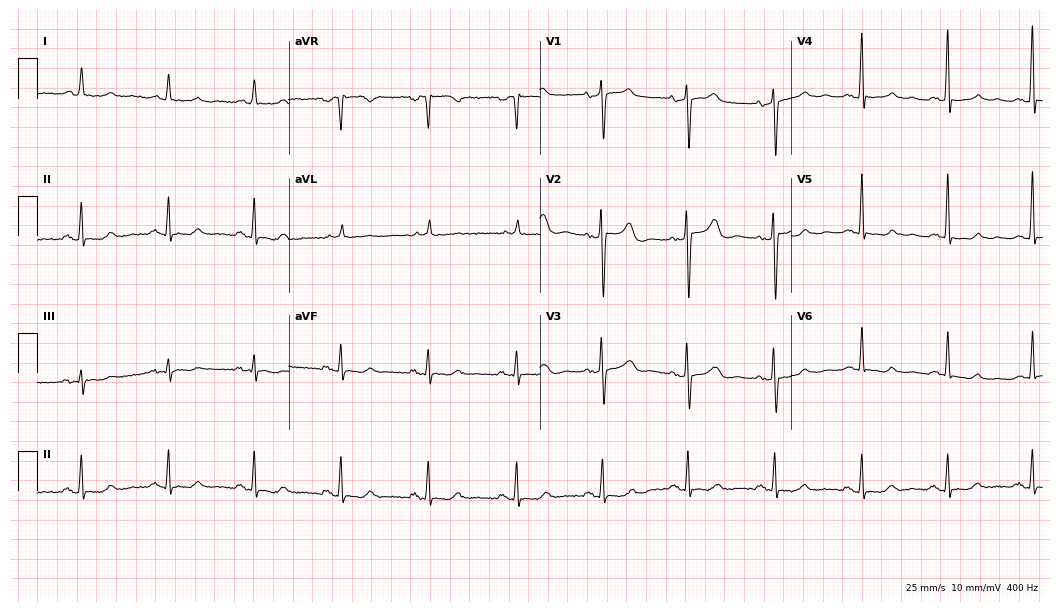
12-lead ECG from a 64-year-old female (10.2-second recording at 400 Hz). Recorded interpretation: within normal limits.